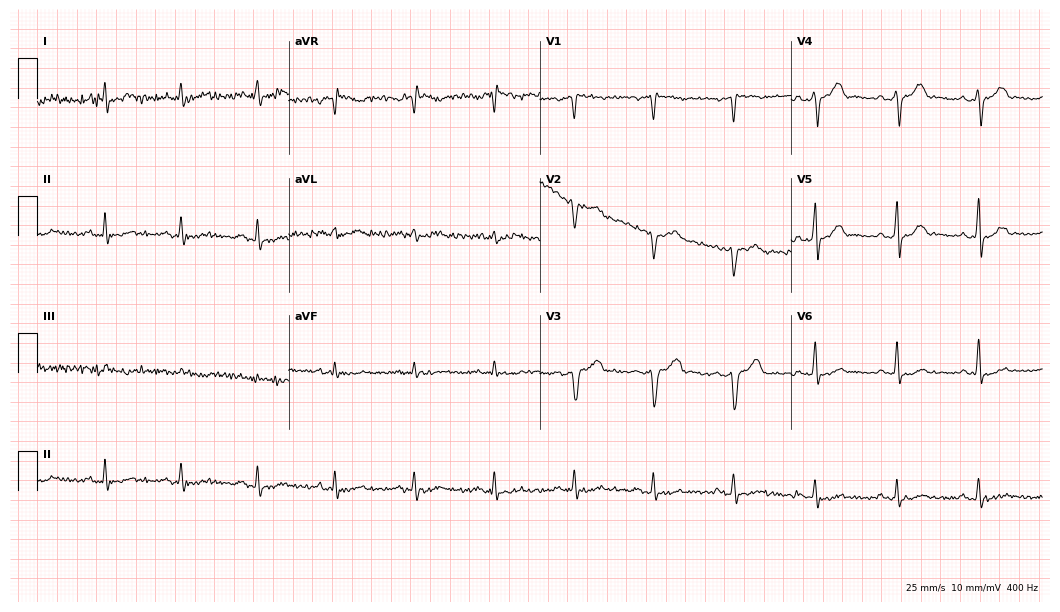
Resting 12-lead electrocardiogram (10.2-second recording at 400 Hz). Patient: a male, 52 years old. Read as a normal ECG.